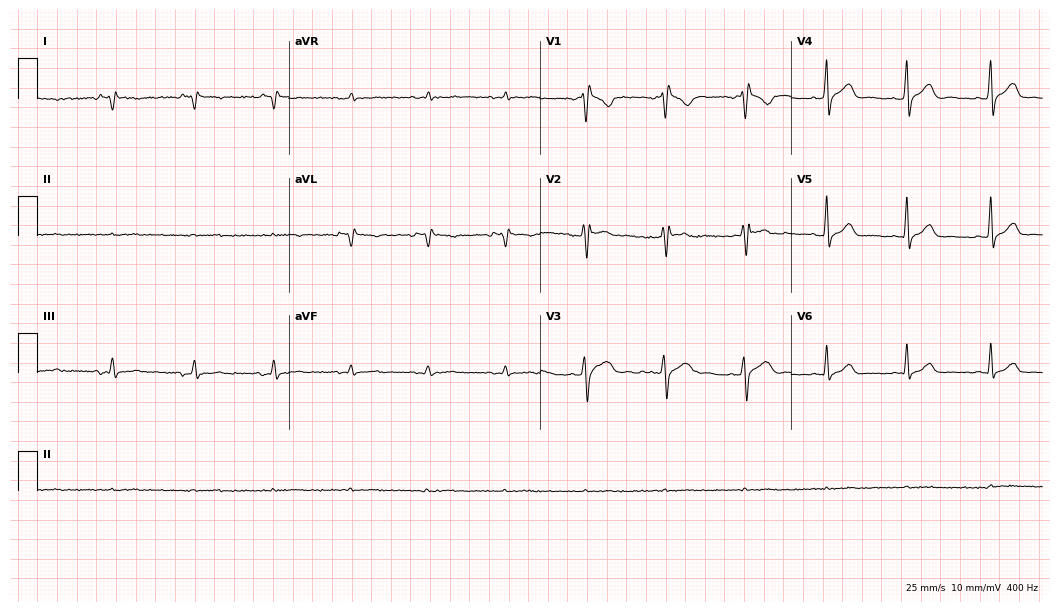
12-lead ECG from a male patient, 54 years old. No first-degree AV block, right bundle branch block, left bundle branch block, sinus bradycardia, atrial fibrillation or sinus tachycardia recorded for this tracing.